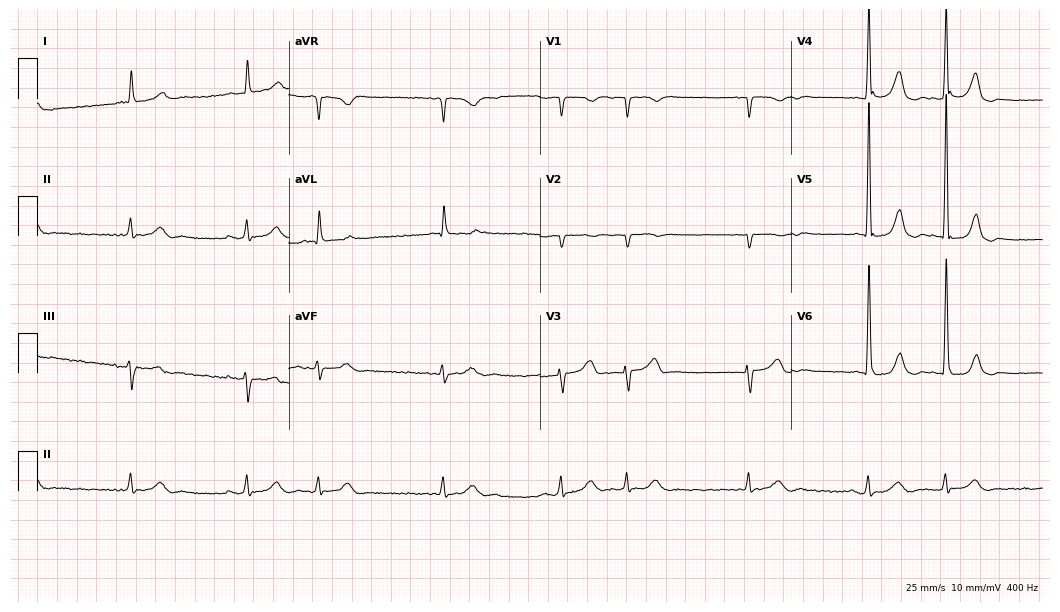
Electrocardiogram (10.2-second recording at 400 Hz), an 82-year-old man. Interpretation includes atrial fibrillation (AF).